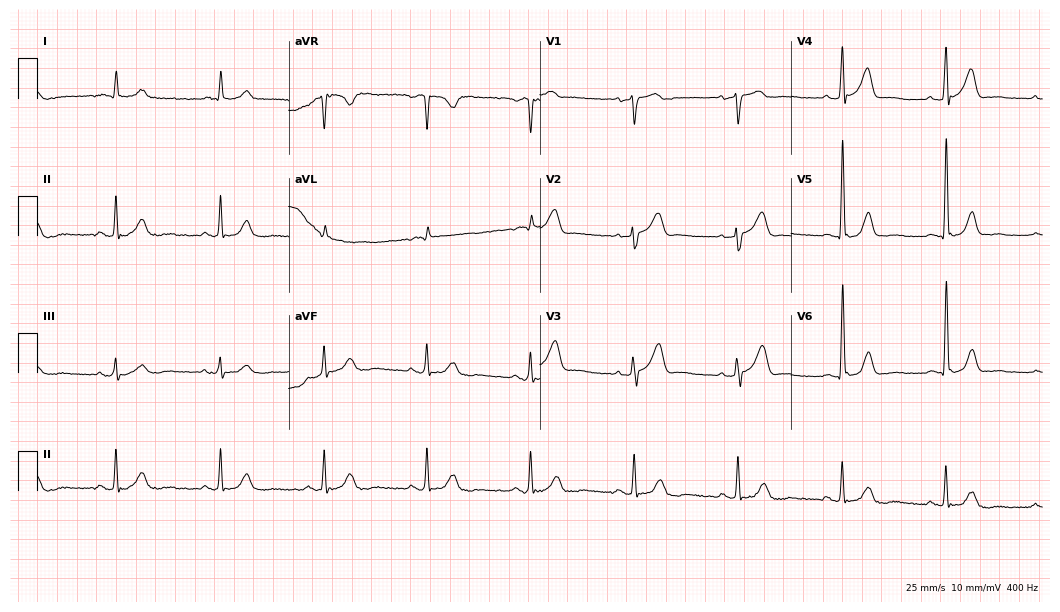
Standard 12-lead ECG recorded from a man, 82 years old. Read as a normal ECG.